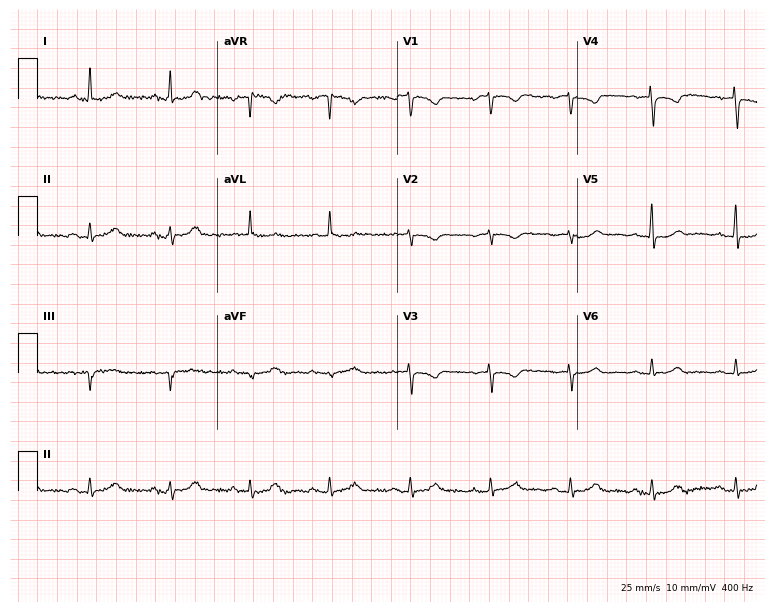
ECG (7.3-second recording at 400 Hz) — a woman, 61 years old. Screened for six findings — first-degree AV block, right bundle branch block (RBBB), left bundle branch block (LBBB), sinus bradycardia, atrial fibrillation (AF), sinus tachycardia — none is recorded. Findings outside these six are not listed.